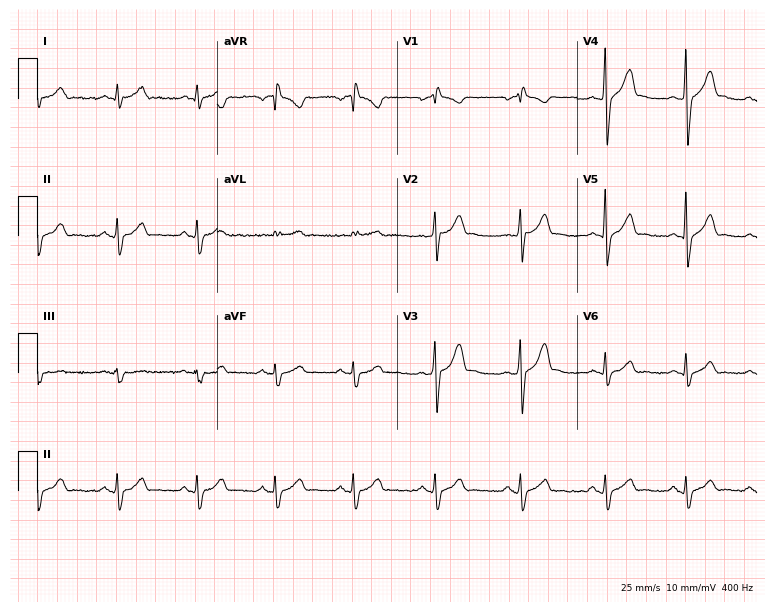
ECG (7.3-second recording at 400 Hz) — a 32-year-old male patient. Screened for six findings — first-degree AV block, right bundle branch block, left bundle branch block, sinus bradycardia, atrial fibrillation, sinus tachycardia — none is recorded.